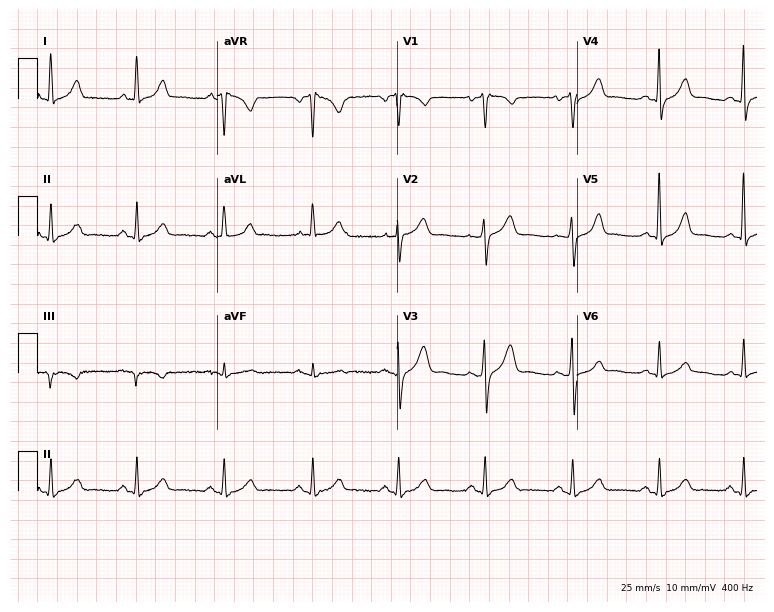
Standard 12-lead ECG recorded from a 52-year-old female. Read as a normal ECG.